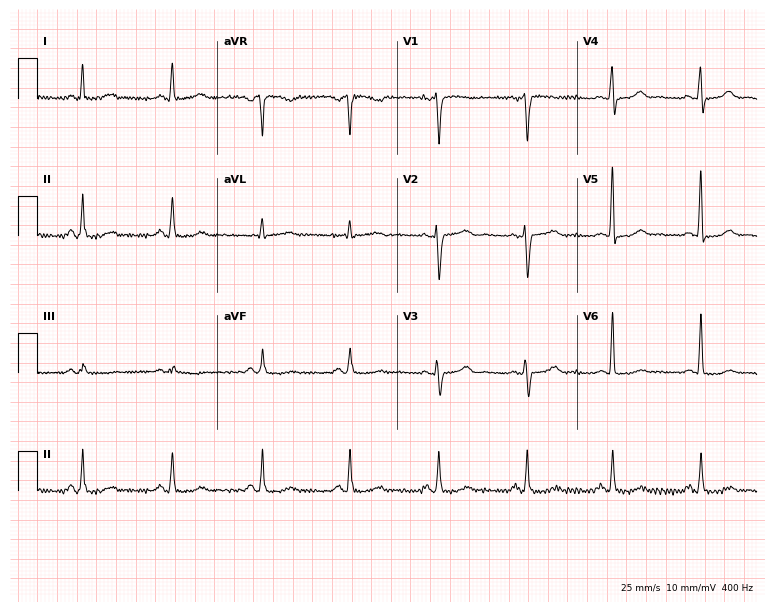
Electrocardiogram (7.3-second recording at 400 Hz), a 53-year-old female. Of the six screened findings (first-degree AV block, right bundle branch block, left bundle branch block, sinus bradycardia, atrial fibrillation, sinus tachycardia), none is recorded.